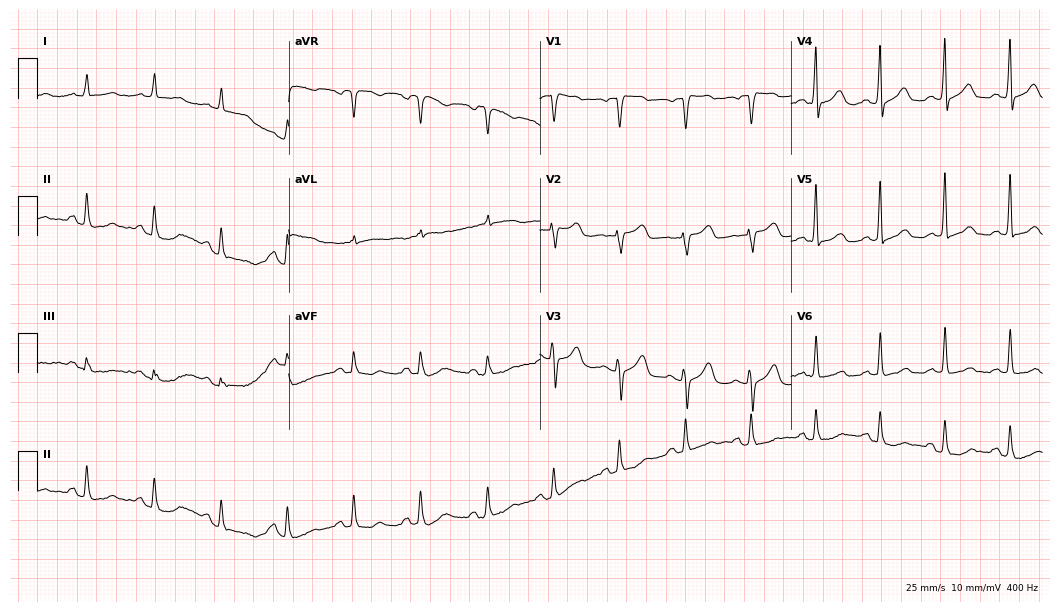
12-lead ECG from a woman, 65 years old. Recorded interpretation: within normal limits.